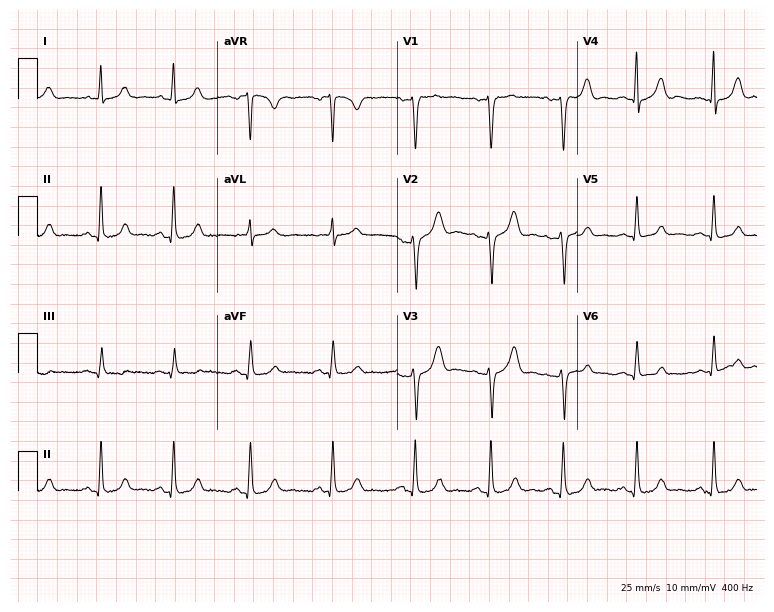
12-lead ECG from a 38-year-old woman (7.3-second recording at 400 Hz). No first-degree AV block, right bundle branch block (RBBB), left bundle branch block (LBBB), sinus bradycardia, atrial fibrillation (AF) or sinus tachycardia recorded for this tracing.